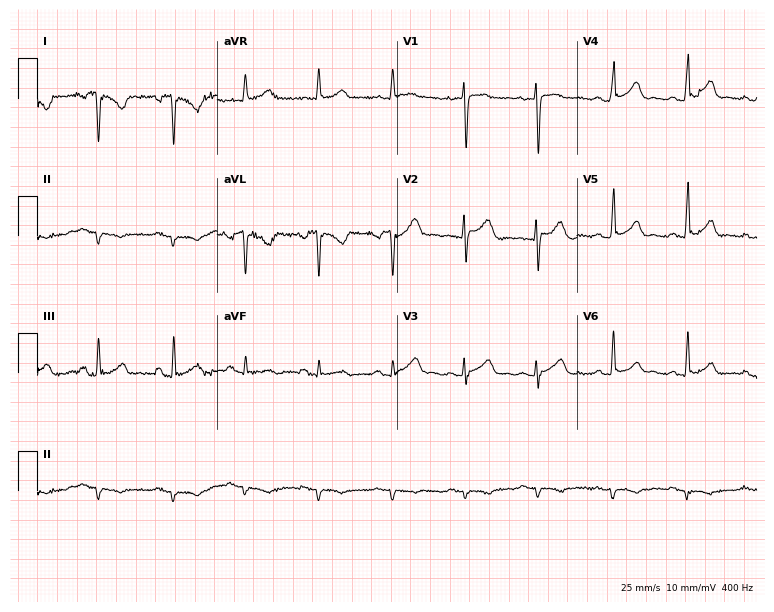
12-lead ECG (7.3-second recording at 400 Hz) from a 29-year-old female. Screened for six findings — first-degree AV block, right bundle branch block, left bundle branch block, sinus bradycardia, atrial fibrillation, sinus tachycardia — none is recorded.